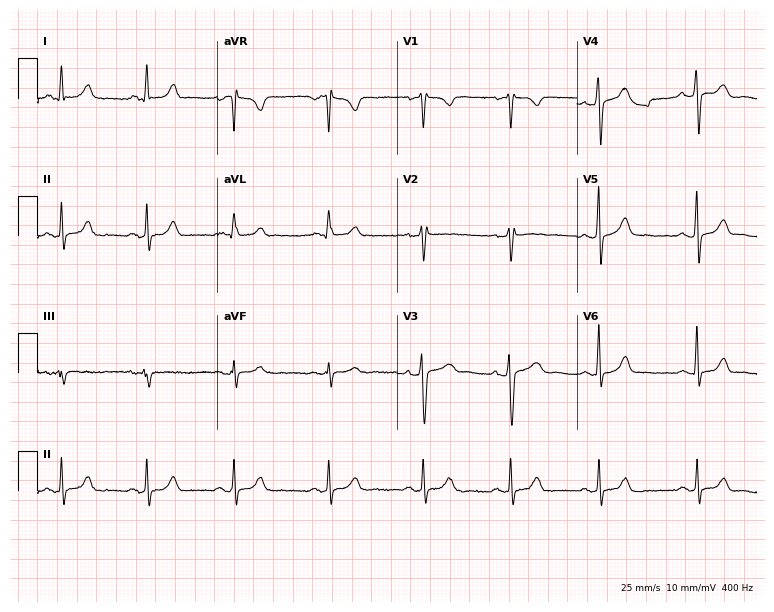
12-lead ECG (7.3-second recording at 400 Hz) from a 44-year-old female. Screened for six findings — first-degree AV block, right bundle branch block (RBBB), left bundle branch block (LBBB), sinus bradycardia, atrial fibrillation (AF), sinus tachycardia — none is recorded.